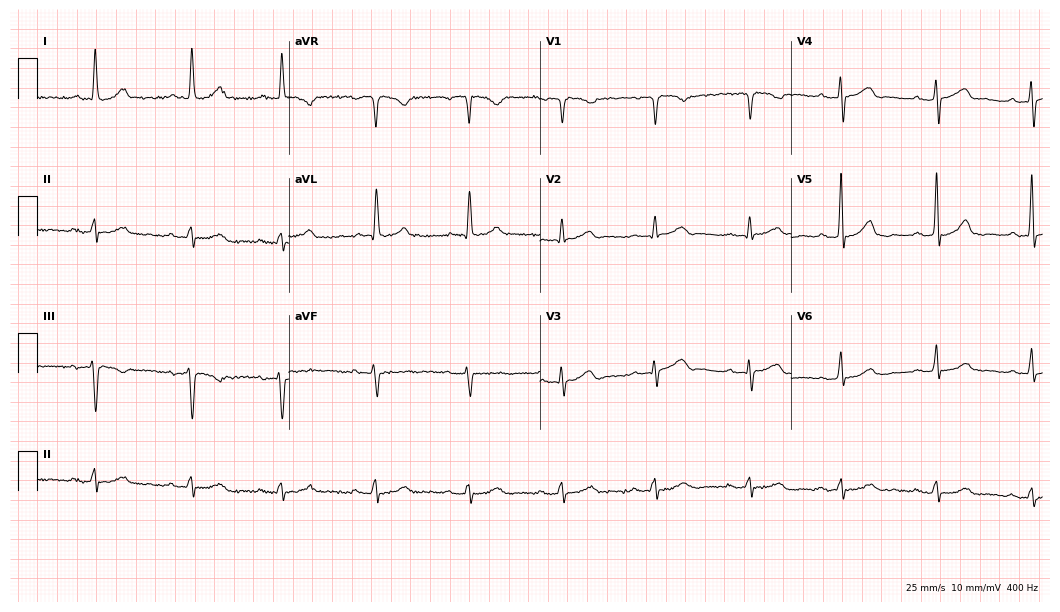
Electrocardiogram (10.2-second recording at 400 Hz), a 55-year-old female patient. Overall reading on record: normal ECG.